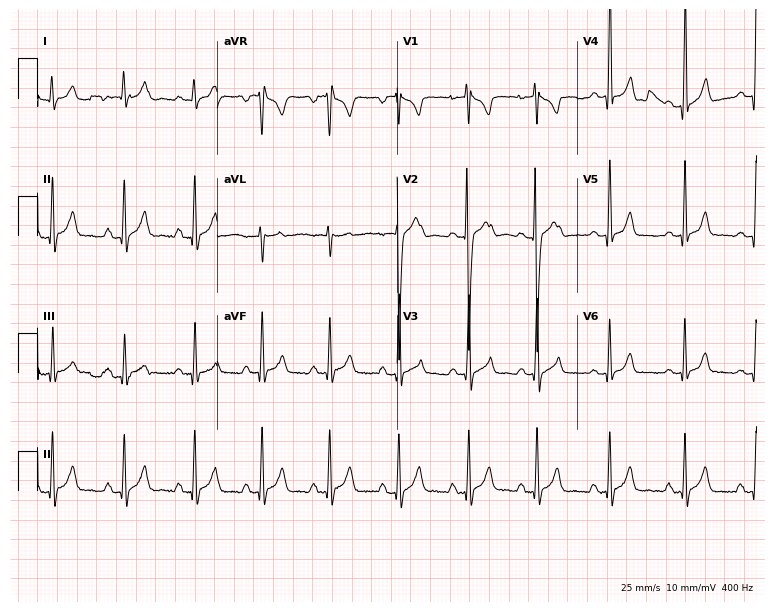
12-lead ECG from a 21-year-old man. No first-degree AV block, right bundle branch block, left bundle branch block, sinus bradycardia, atrial fibrillation or sinus tachycardia recorded for this tracing. Findings outside these six are not listed.